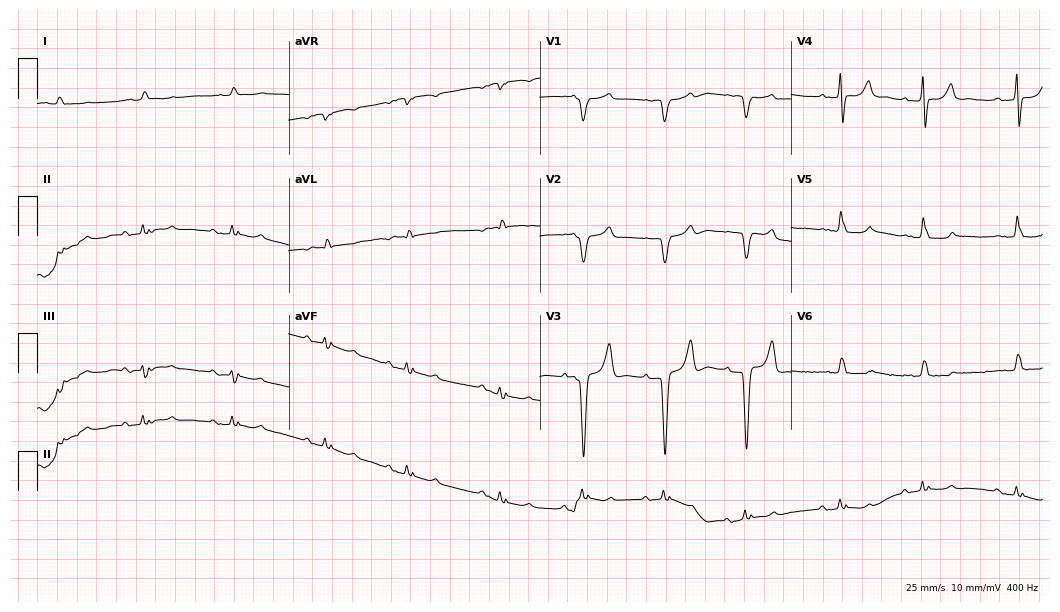
Resting 12-lead electrocardiogram. Patient: an 81-year-old male. None of these six findings is recorded: first-degree AV block, right bundle branch block (RBBB), left bundle branch block (LBBB), sinus bradycardia, atrial fibrillation (AF), sinus tachycardia. Other findings, if any, are not listed.